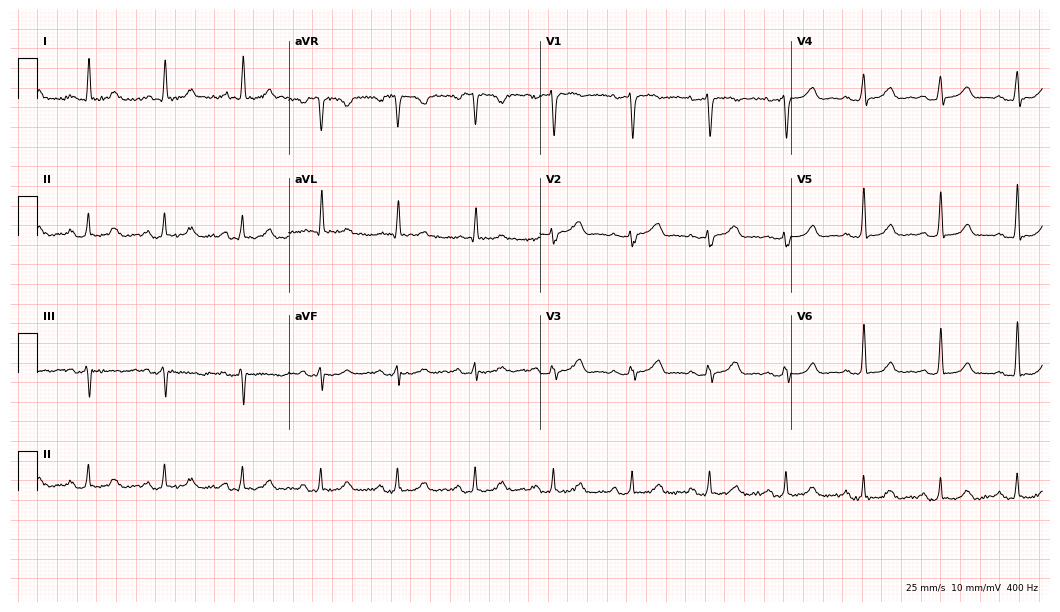
Electrocardiogram, a 59-year-old female patient. Of the six screened findings (first-degree AV block, right bundle branch block (RBBB), left bundle branch block (LBBB), sinus bradycardia, atrial fibrillation (AF), sinus tachycardia), none is recorded. Findings outside these six are not listed.